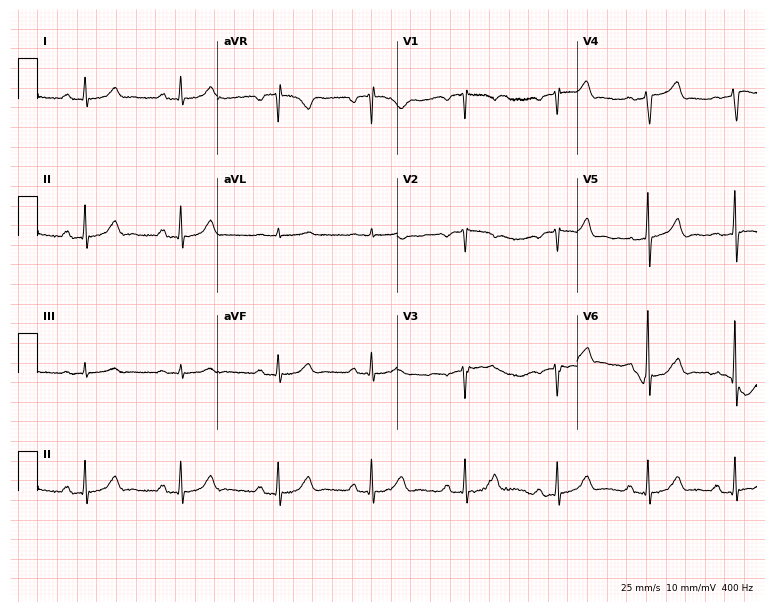
Resting 12-lead electrocardiogram (7.3-second recording at 400 Hz). Patient: a 76-year-old male. None of these six findings is recorded: first-degree AV block, right bundle branch block, left bundle branch block, sinus bradycardia, atrial fibrillation, sinus tachycardia. Other findings, if any, are not listed.